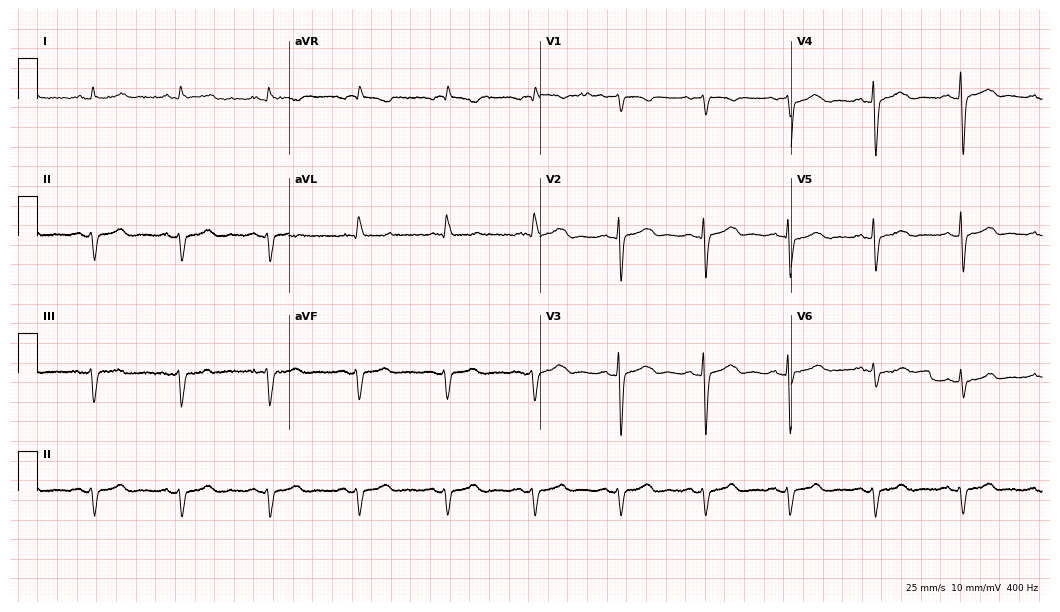
ECG (10.2-second recording at 400 Hz) — a male patient, 74 years old. Screened for six findings — first-degree AV block, right bundle branch block, left bundle branch block, sinus bradycardia, atrial fibrillation, sinus tachycardia — none is recorded.